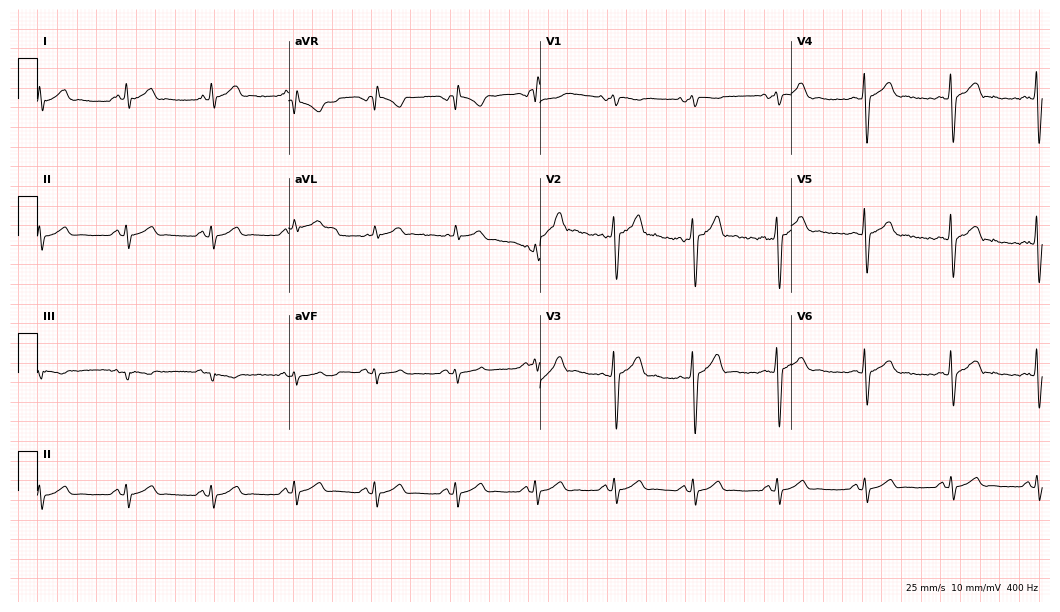
Electrocardiogram, a male patient, 40 years old. Of the six screened findings (first-degree AV block, right bundle branch block, left bundle branch block, sinus bradycardia, atrial fibrillation, sinus tachycardia), none is recorded. Other findings, if any, are not listed.